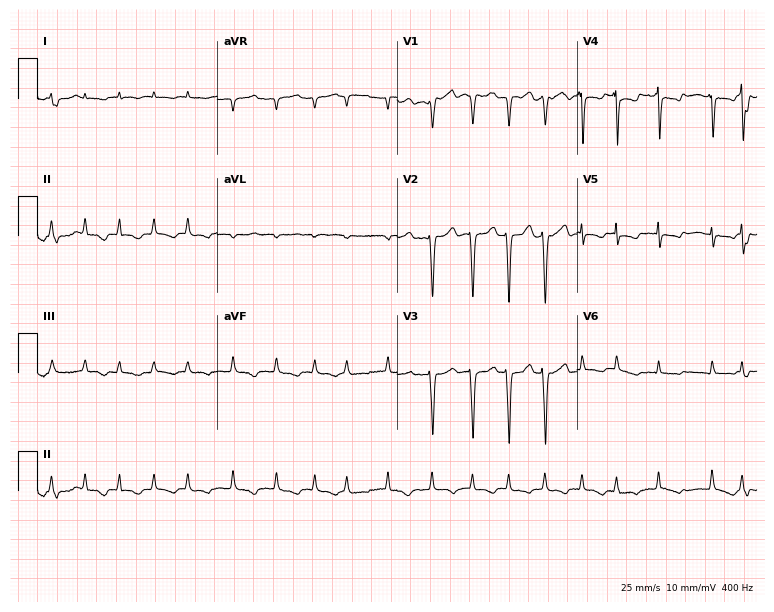
12-lead ECG from a woman, 78 years old. Shows atrial fibrillation.